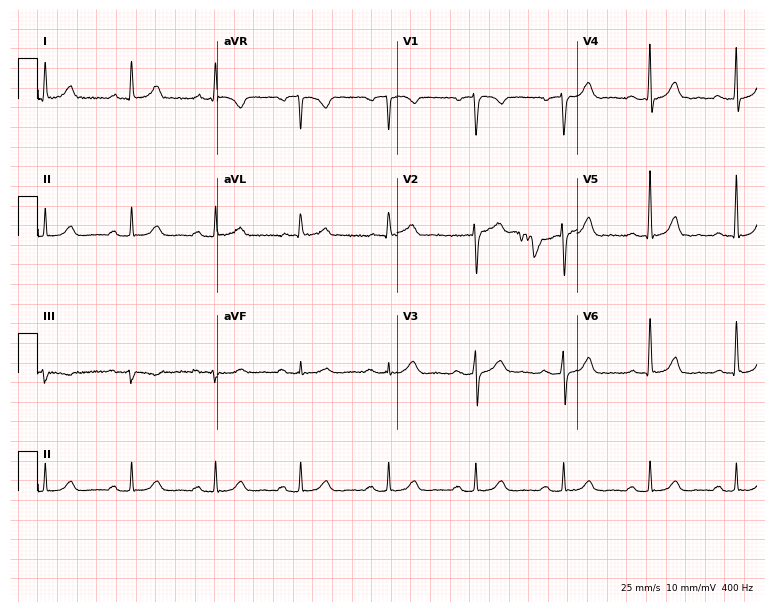
12-lead ECG (7.3-second recording at 400 Hz) from a male patient, 60 years old. Labelled as a normal ECG.